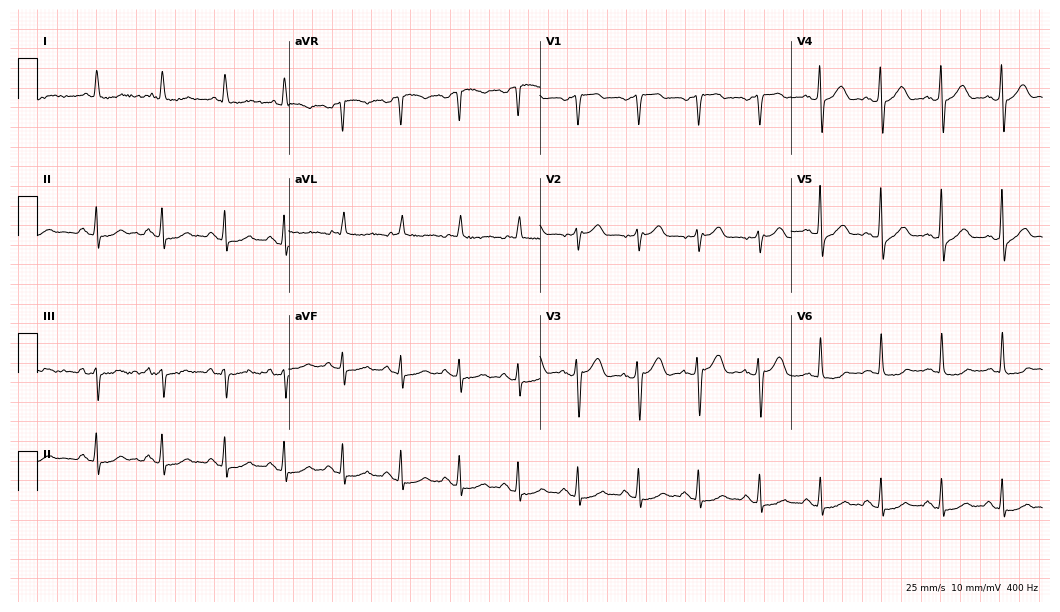
ECG — a 63-year-old female. Screened for six findings — first-degree AV block, right bundle branch block (RBBB), left bundle branch block (LBBB), sinus bradycardia, atrial fibrillation (AF), sinus tachycardia — none is recorded.